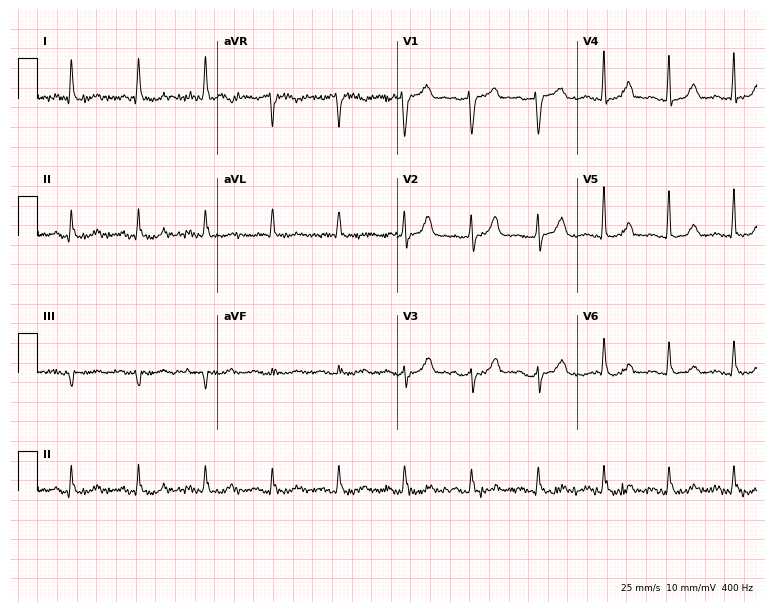
ECG — an 81-year-old woman. Screened for six findings — first-degree AV block, right bundle branch block (RBBB), left bundle branch block (LBBB), sinus bradycardia, atrial fibrillation (AF), sinus tachycardia — none is recorded. Only these six findings were labelled.